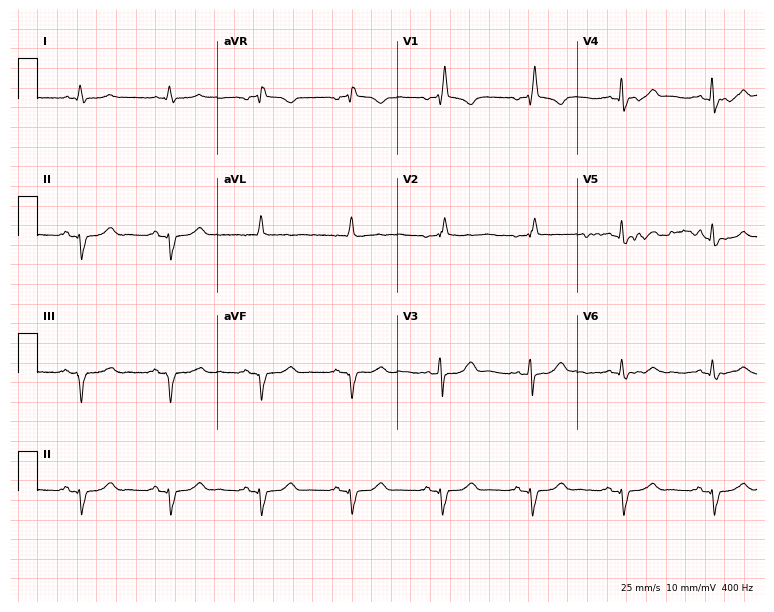
12-lead ECG (7.3-second recording at 400 Hz) from a male, 70 years old. Screened for six findings — first-degree AV block, right bundle branch block, left bundle branch block, sinus bradycardia, atrial fibrillation, sinus tachycardia — none is recorded. Findings outside these six are not listed.